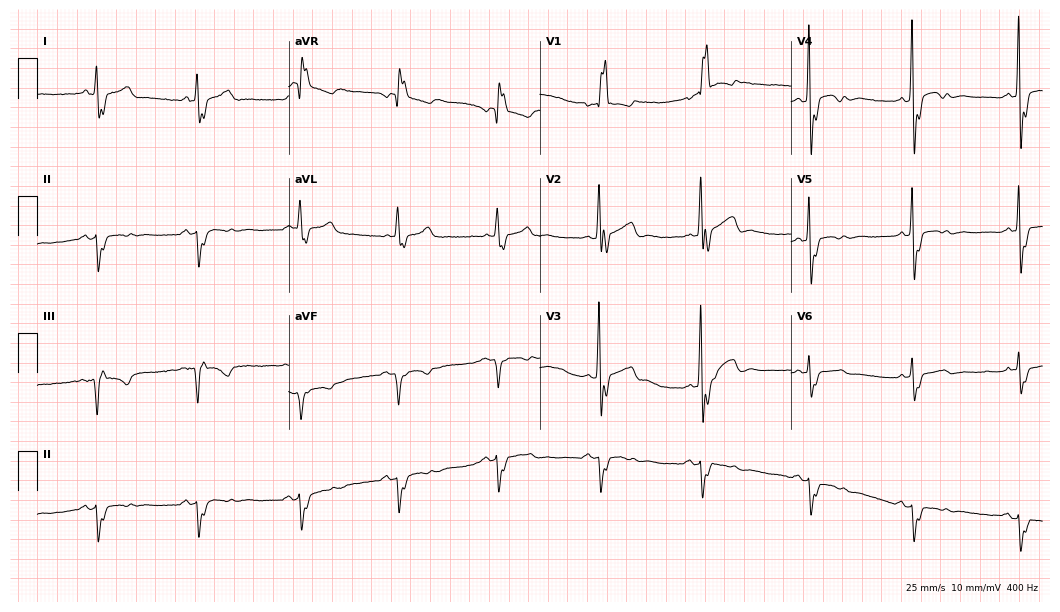
Electrocardiogram, a male patient, 63 years old. Interpretation includes right bundle branch block (RBBB).